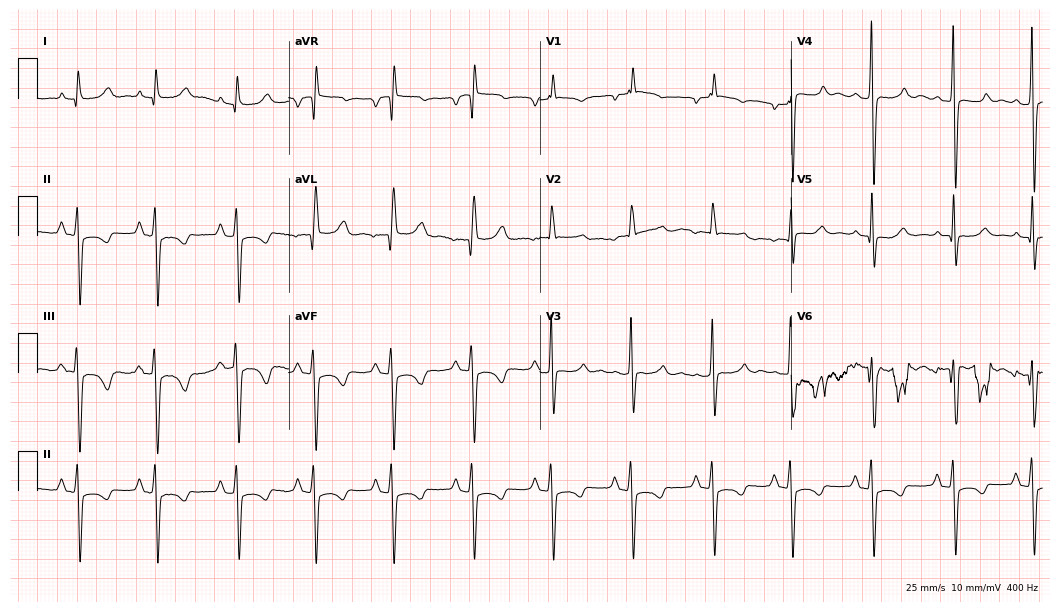
Resting 12-lead electrocardiogram. Patient: a woman, 27 years old. None of these six findings is recorded: first-degree AV block, right bundle branch block, left bundle branch block, sinus bradycardia, atrial fibrillation, sinus tachycardia. Findings outside these six are not listed.